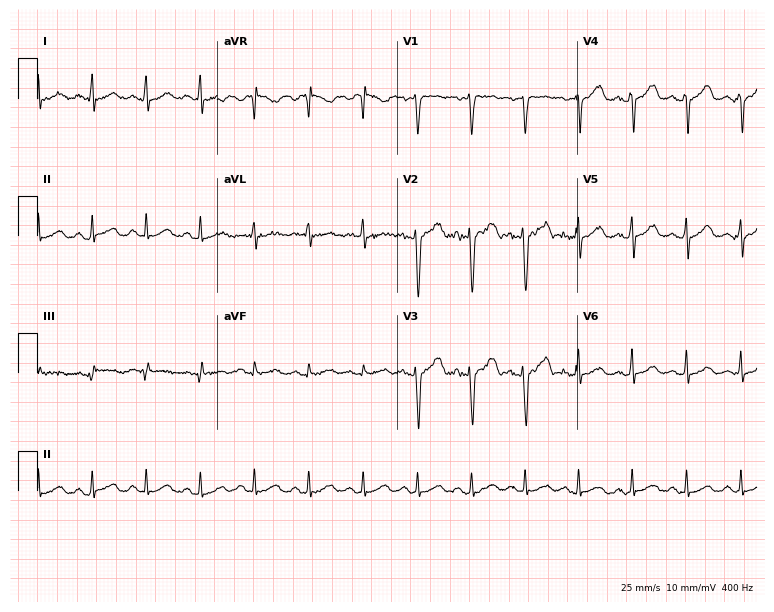
ECG (7.3-second recording at 400 Hz) — a 31-year-old man. Findings include sinus tachycardia (a sinus rate of 100 beats per minute or more).